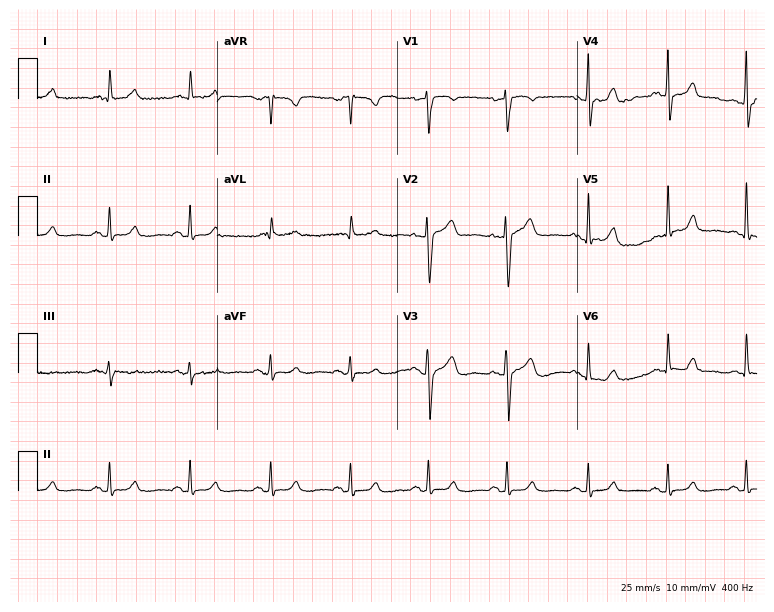
12-lead ECG from a male, 67 years old (7.3-second recording at 400 Hz). Recorded interpretation: within normal limits.